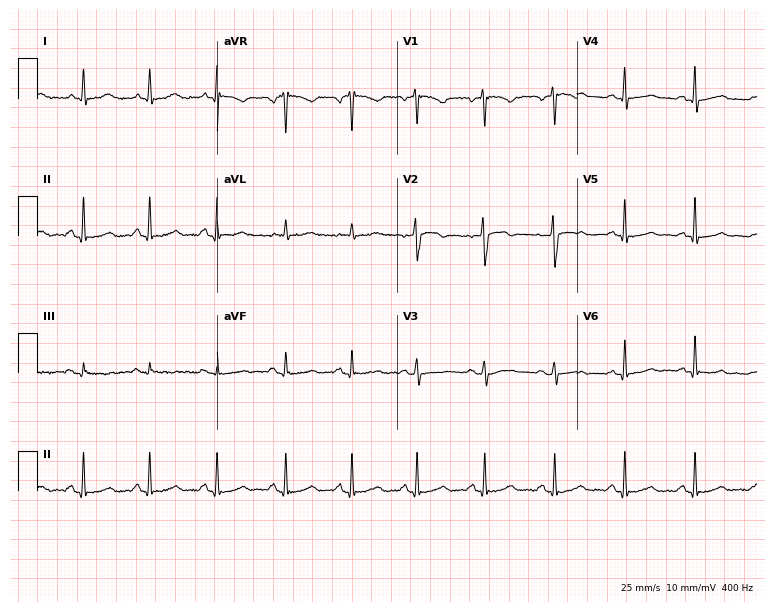
ECG (7.3-second recording at 400 Hz) — a 40-year-old female. Labelled as a normal ECG.